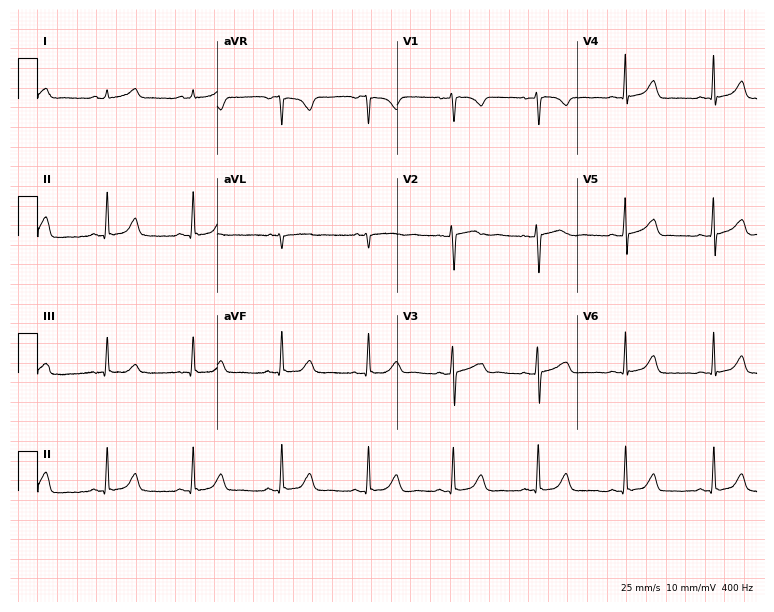
Electrocardiogram, a 30-year-old female. Overall reading on record: normal ECG.